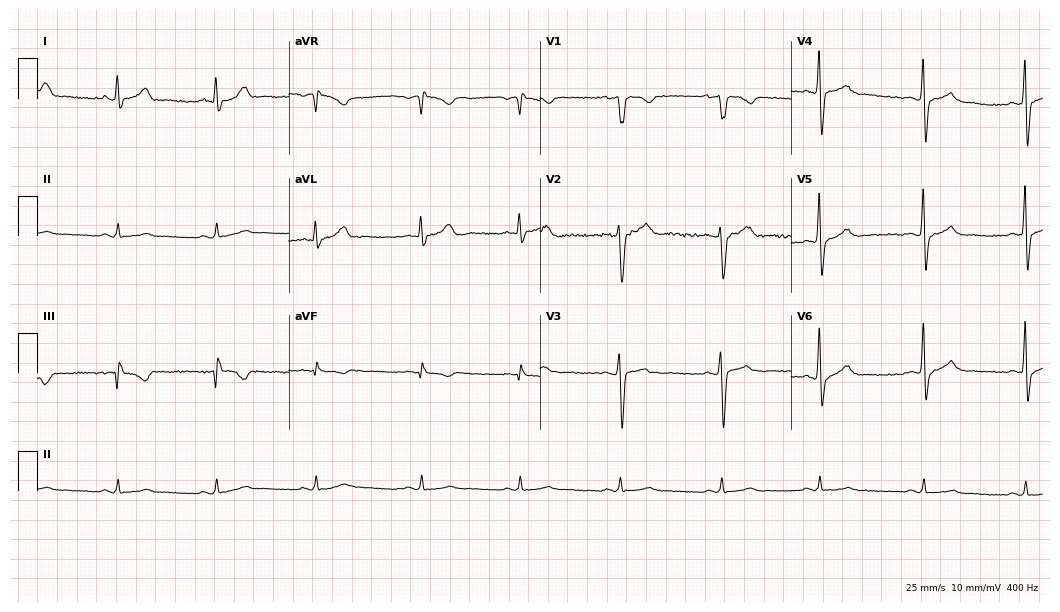
12-lead ECG from a male patient, 38 years old (10.2-second recording at 400 Hz). No first-degree AV block, right bundle branch block (RBBB), left bundle branch block (LBBB), sinus bradycardia, atrial fibrillation (AF) or sinus tachycardia recorded for this tracing. Findings outside these six are not listed.